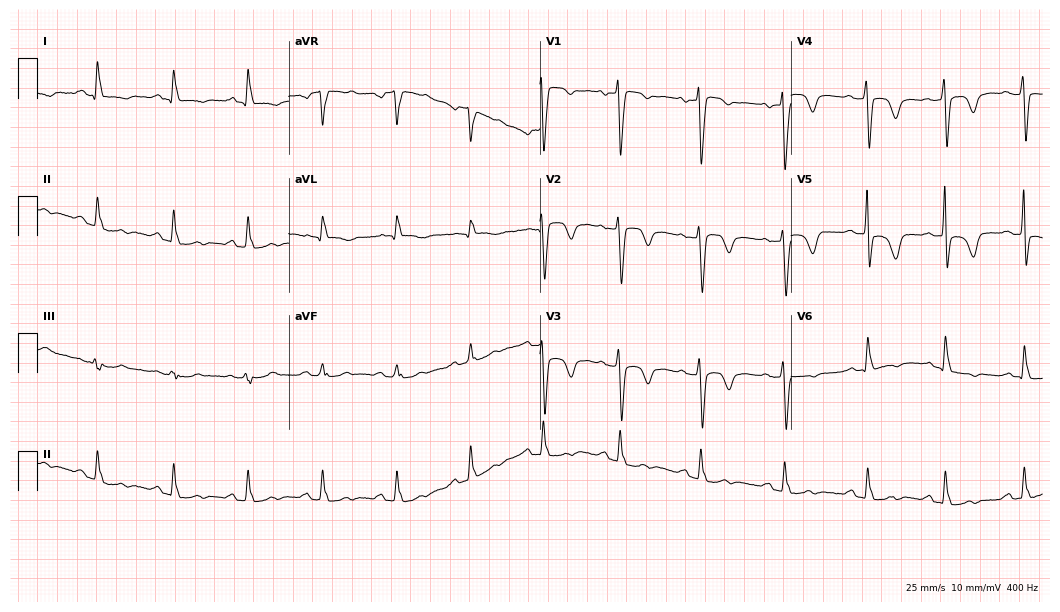
Standard 12-lead ECG recorded from a woman, 75 years old (10.2-second recording at 400 Hz). None of these six findings is recorded: first-degree AV block, right bundle branch block (RBBB), left bundle branch block (LBBB), sinus bradycardia, atrial fibrillation (AF), sinus tachycardia.